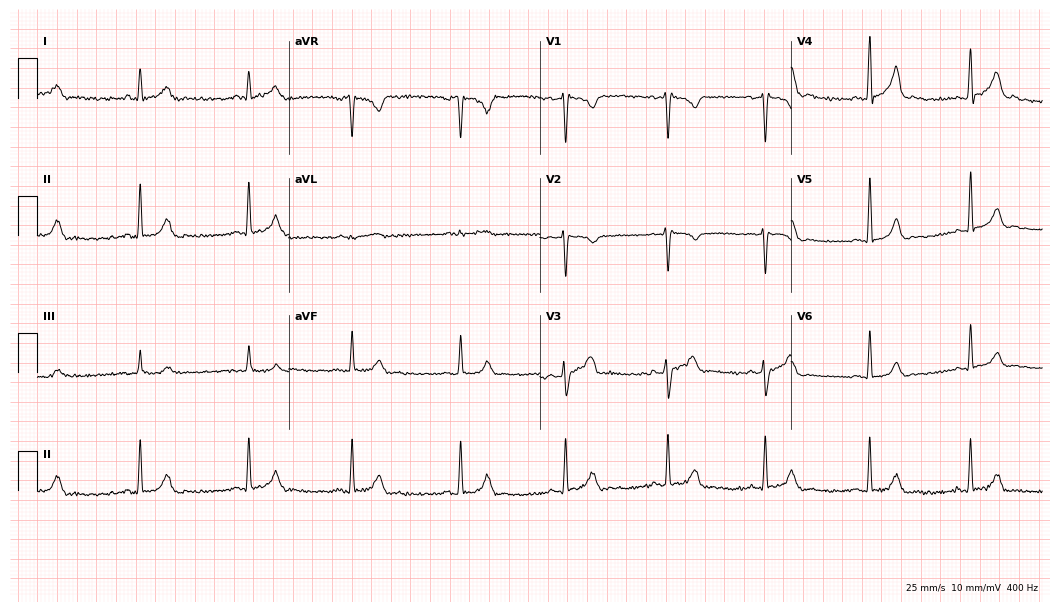
Electrocardiogram, a man, 32 years old. Of the six screened findings (first-degree AV block, right bundle branch block (RBBB), left bundle branch block (LBBB), sinus bradycardia, atrial fibrillation (AF), sinus tachycardia), none is recorded. Other findings, if any, are not listed.